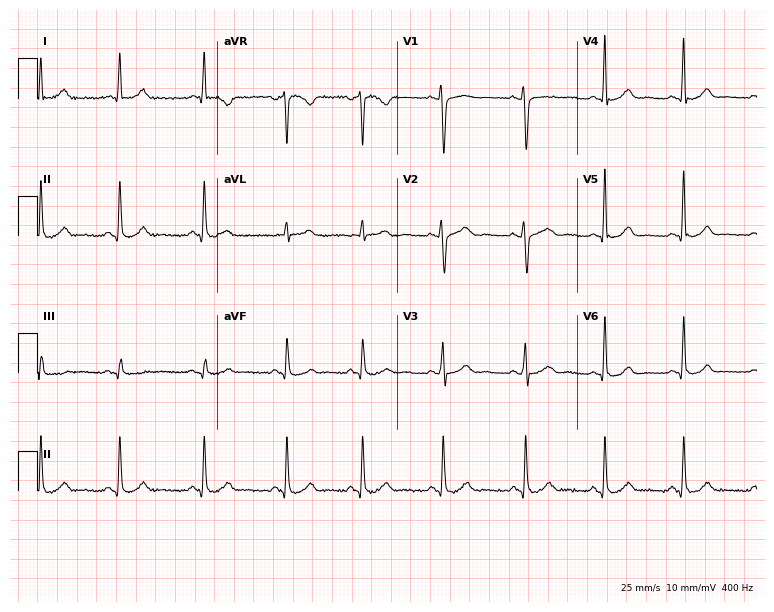
12-lead ECG from a female, 29 years old. Labelled as a normal ECG.